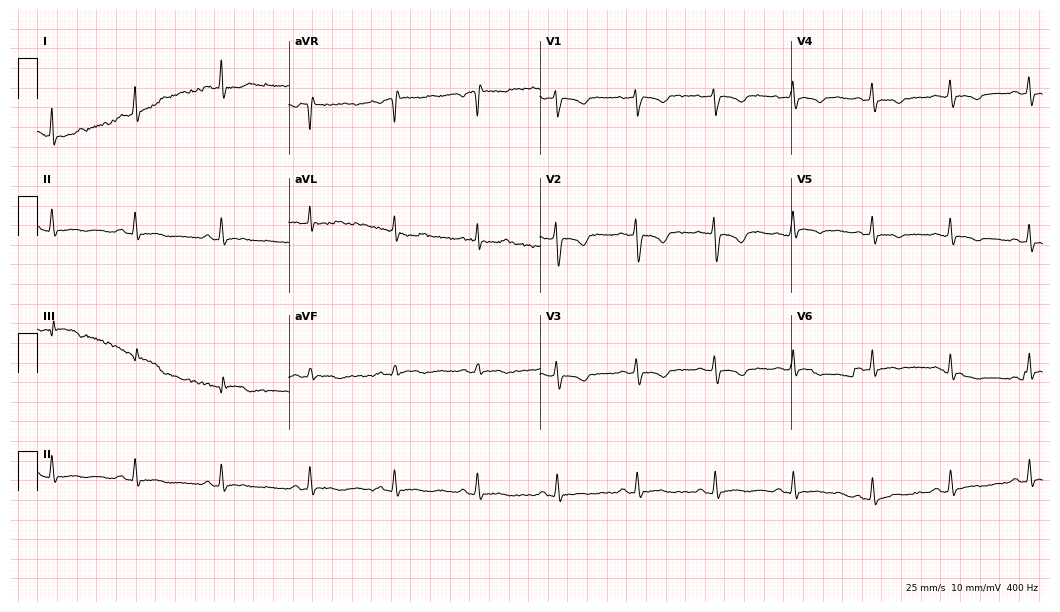
Standard 12-lead ECG recorded from a female, 39 years old (10.2-second recording at 400 Hz). Read as a normal ECG.